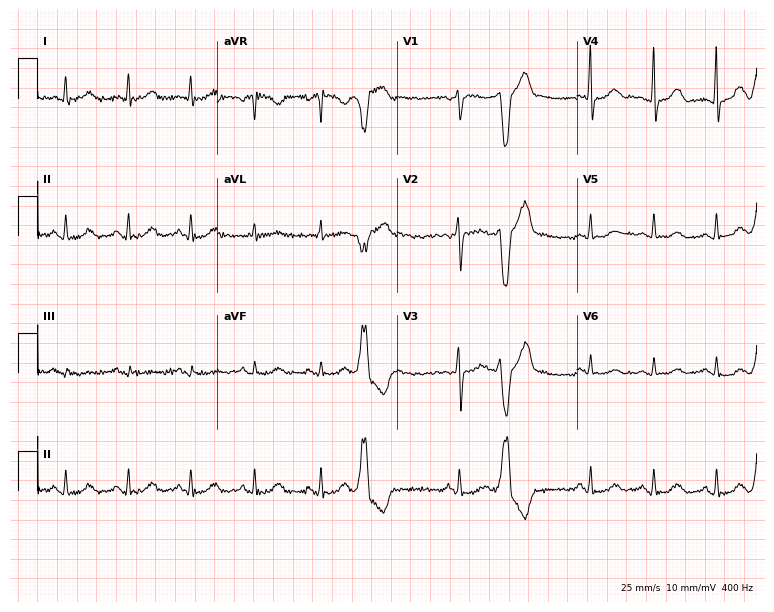
Resting 12-lead electrocardiogram. Patient: a 50-year-old woman. None of these six findings is recorded: first-degree AV block, right bundle branch block, left bundle branch block, sinus bradycardia, atrial fibrillation, sinus tachycardia.